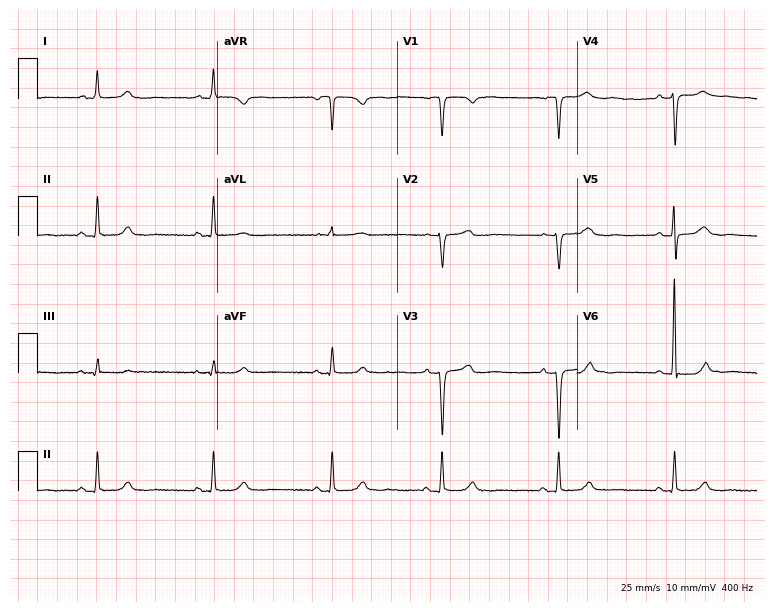
Resting 12-lead electrocardiogram (7.3-second recording at 400 Hz). Patient: a woman, 53 years old. None of these six findings is recorded: first-degree AV block, right bundle branch block, left bundle branch block, sinus bradycardia, atrial fibrillation, sinus tachycardia. Other findings, if any, are not listed.